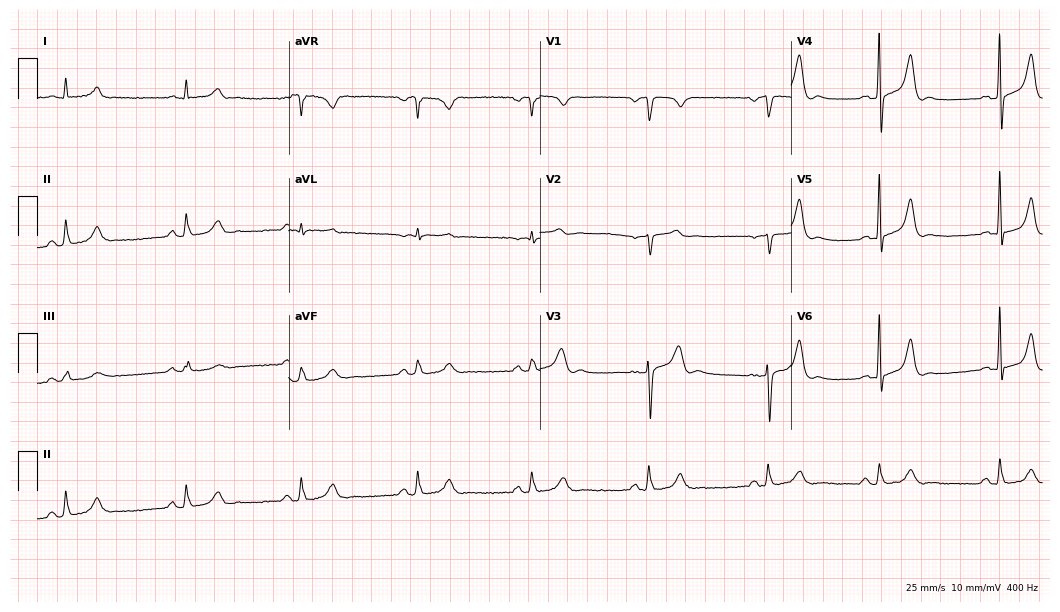
12-lead ECG from a male patient, 47 years old (10.2-second recording at 400 Hz). Shows sinus bradycardia (a sinus rate of 50 beats per minute or less).